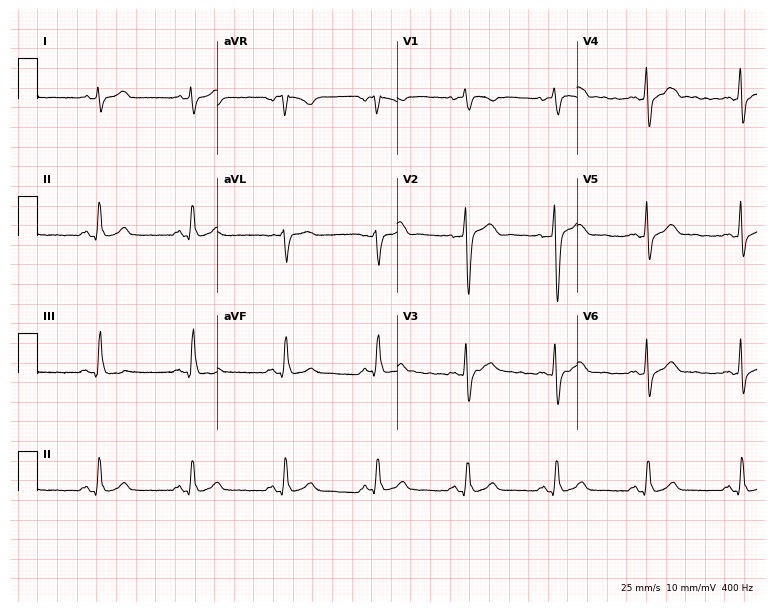
Standard 12-lead ECG recorded from a 36-year-old male. None of these six findings is recorded: first-degree AV block, right bundle branch block, left bundle branch block, sinus bradycardia, atrial fibrillation, sinus tachycardia. Other findings, if any, are not listed.